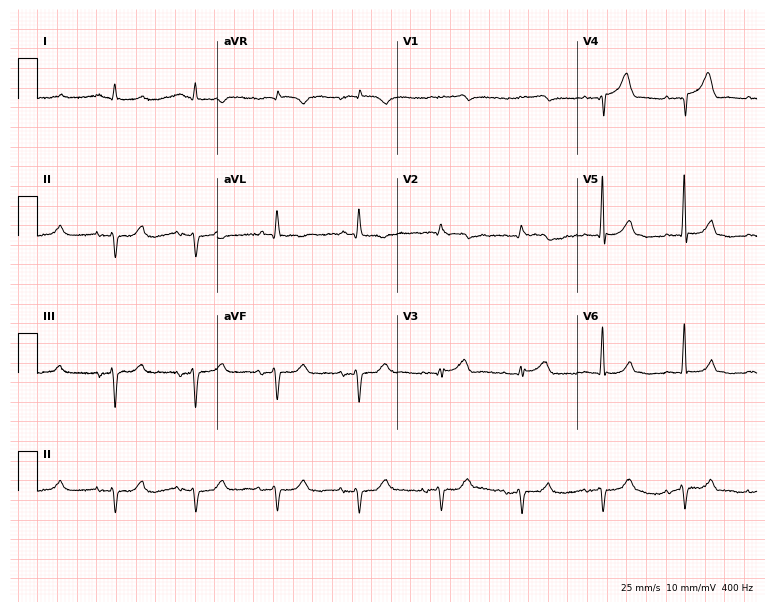
ECG — a 70-year-old male. Screened for six findings — first-degree AV block, right bundle branch block, left bundle branch block, sinus bradycardia, atrial fibrillation, sinus tachycardia — none is recorded.